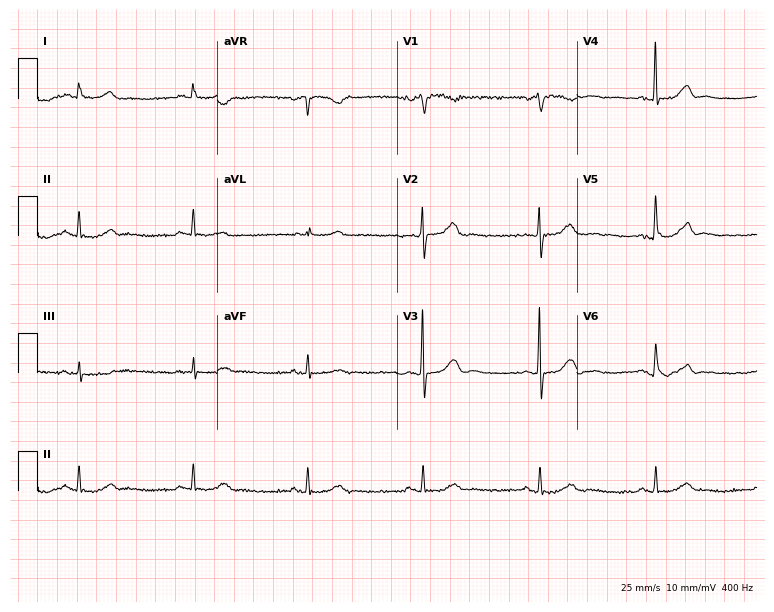
12-lead ECG from a 72-year-old male. Labelled as a normal ECG.